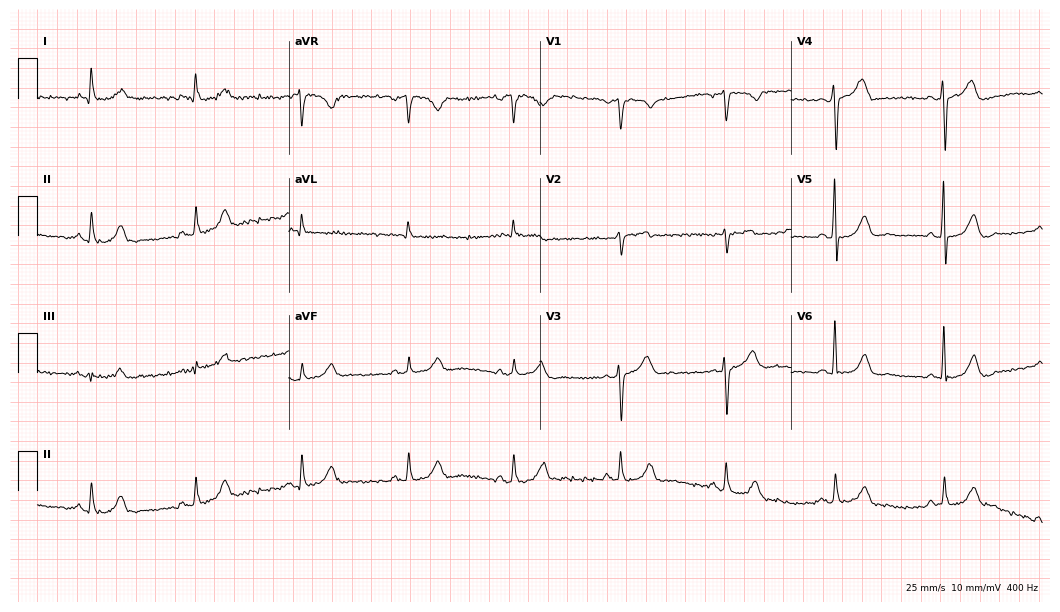
Standard 12-lead ECG recorded from a 73-year-old male patient (10.2-second recording at 400 Hz). None of these six findings is recorded: first-degree AV block, right bundle branch block, left bundle branch block, sinus bradycardia, atrial fibrillation, sinus tachycardia.